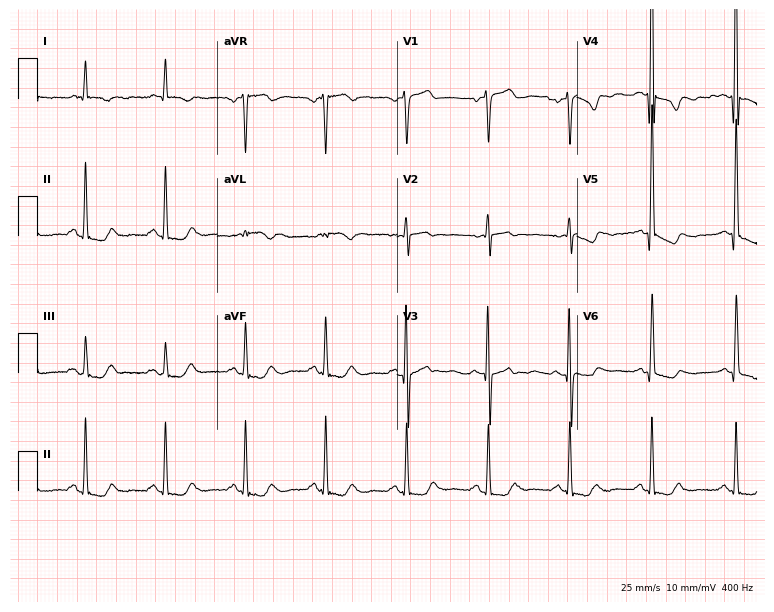
Standard 12-lead ECG recorded from a man, 68 years old (7.3-second recording at 400 Hz). None of these six findings is recorded: first-degree AV block, right bundle branch block, left bundle branch block, sinus bradycardia, atrial fibrillation, sinus tachycardia.